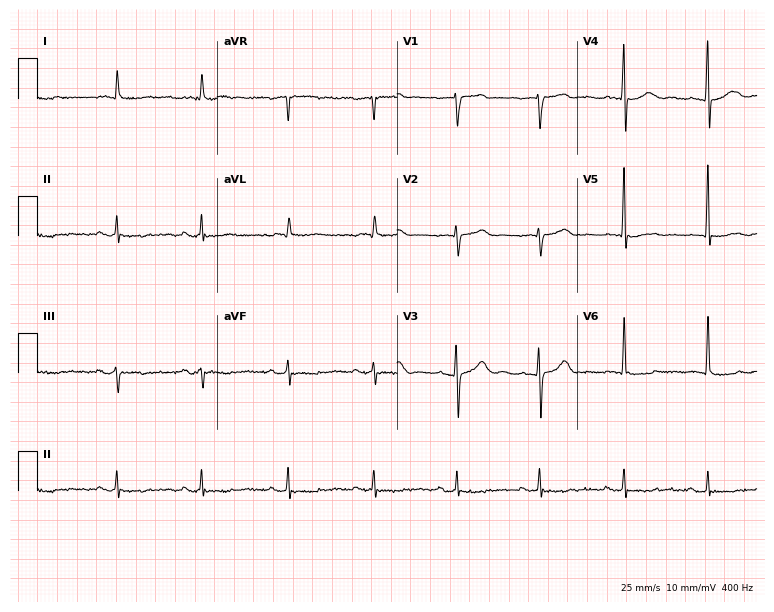
Resting 12-lead electrocardiogram (7.3-second recording at 400 Hz). Patient: a male, 88 years old. None of these six findings is recorded: first-degree AV block, right bundle branch block, left bundle branch block, sinus bradycardia, atrial fibrillation, sinus tachycardia. Other findings, if any, are not listed.